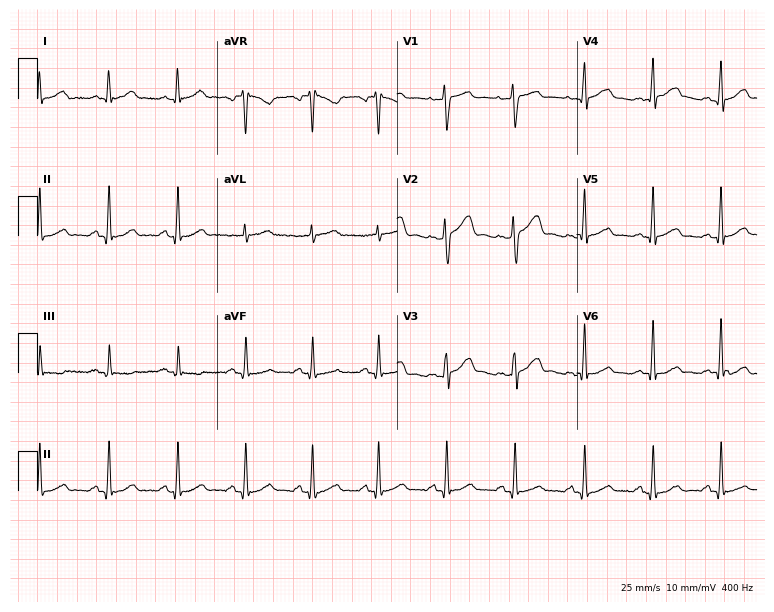
ECG (7.3-second recording at 400 Hz) — a 35-year-old man. Labelled as a normal ECG.